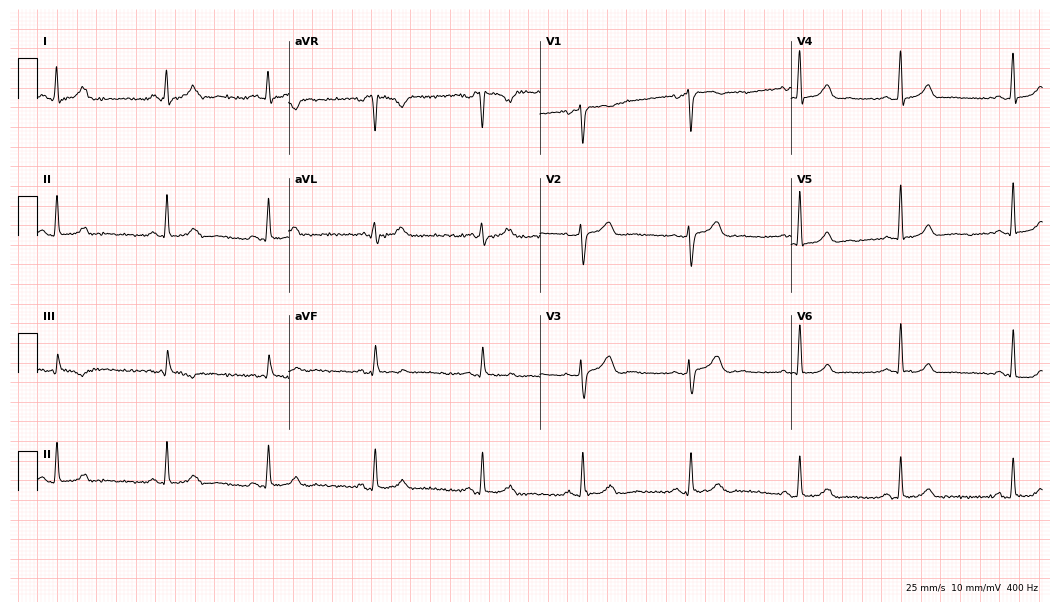
12-lead ECG from a female patient, 43 years old. Labelled as a normal ECG.